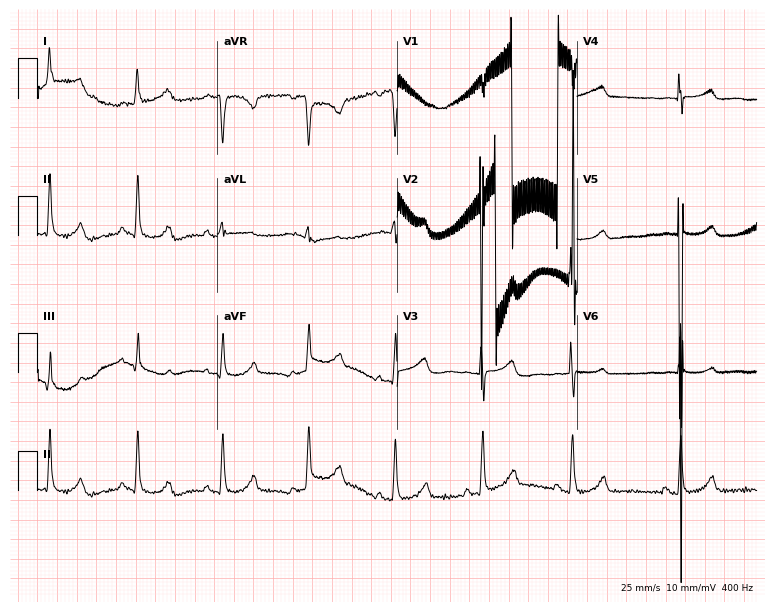
12-lead ECG from a 67-year-old woman (7.3-second recording at 400 Hz). No first-degree AV block, right bundle branch block, left bundle branch block, sinus bradycardia, atrial fibrillation or sinus tachycardia recorded for this tracing.